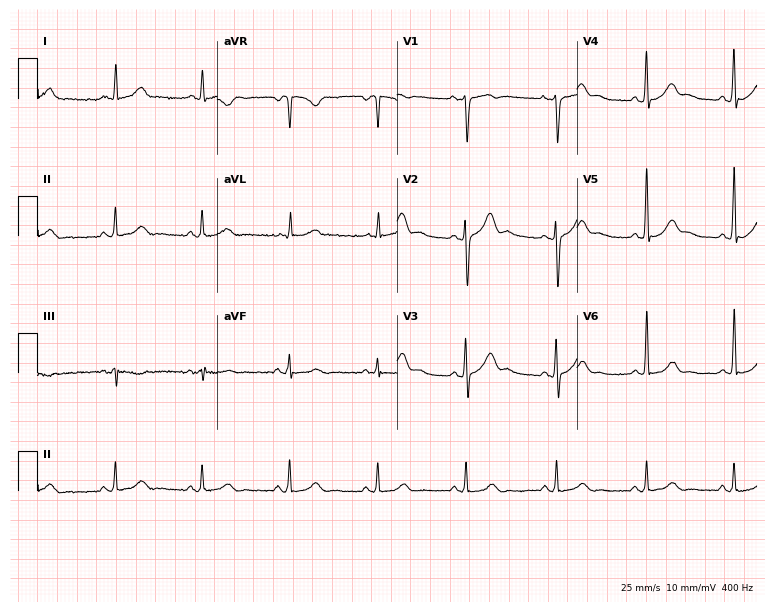
ECG — a male patient, 28 years old. Screened for six findings — first-degree AV block, right bundle branch block, left bundle branch block, sinus bradycardia, atrial fibrillation, sinus tachycardia — none is recorded. Only these six findings were labelled.